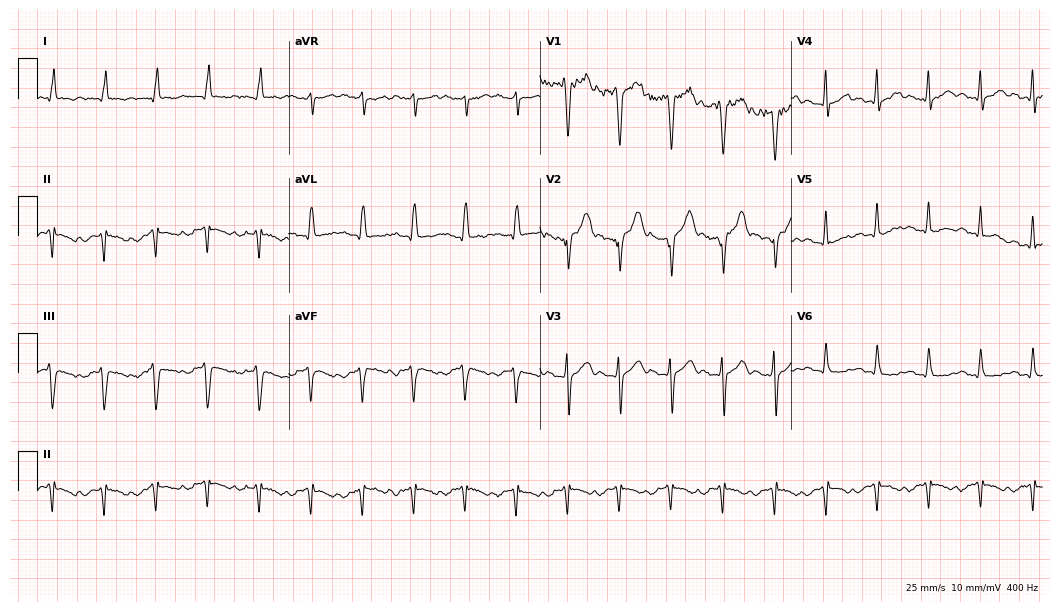
ECG — a 33-year-old male. Findings include sinus tachycardia (a sinus rate of 100 beats per minute or more).